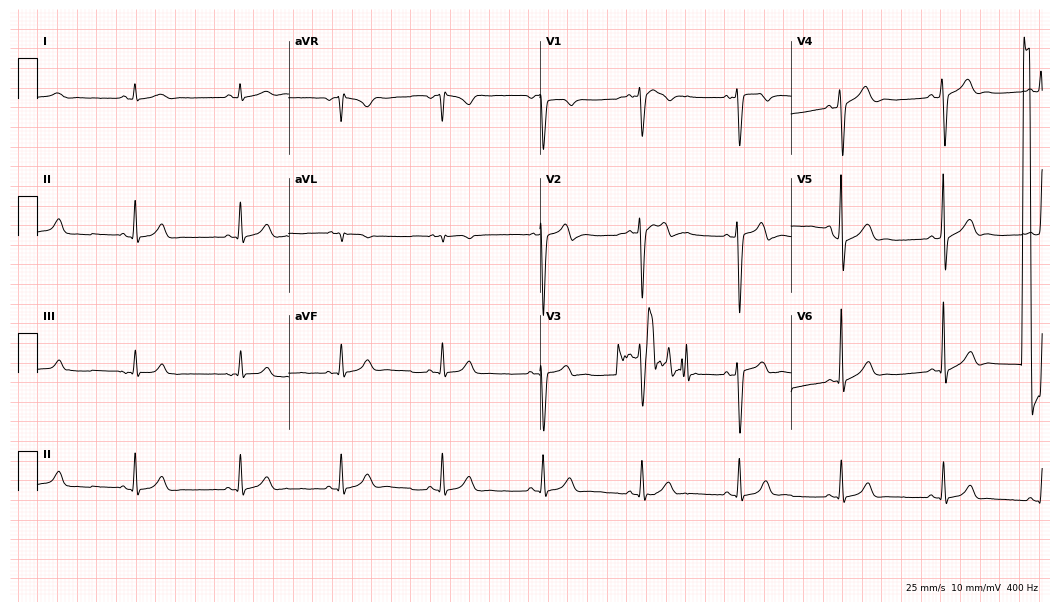
Standard 12-lead ECG recorded from a man, 26 years old (10.2-second recording at 400 Hz). None of these six findings is recorded: first-degree AV block, right bundle branch block, left bundle branch block, sinus bradycardia, atrial fibrillation, sinus tachycardia.